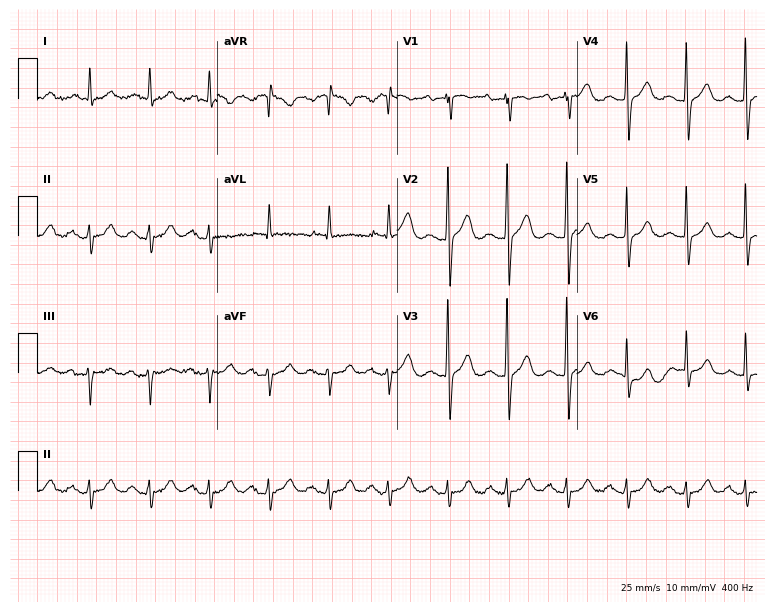
Resting 12-lead electrocardiogram. Patient: a man, 78 years old. None of these six findings is recorded: first-degree AV block, right bundle branch block (RBBB), left bundle branch block (LBBB), sinus bradycardia, atrial fibrillation (AF), sinus tachycardia.